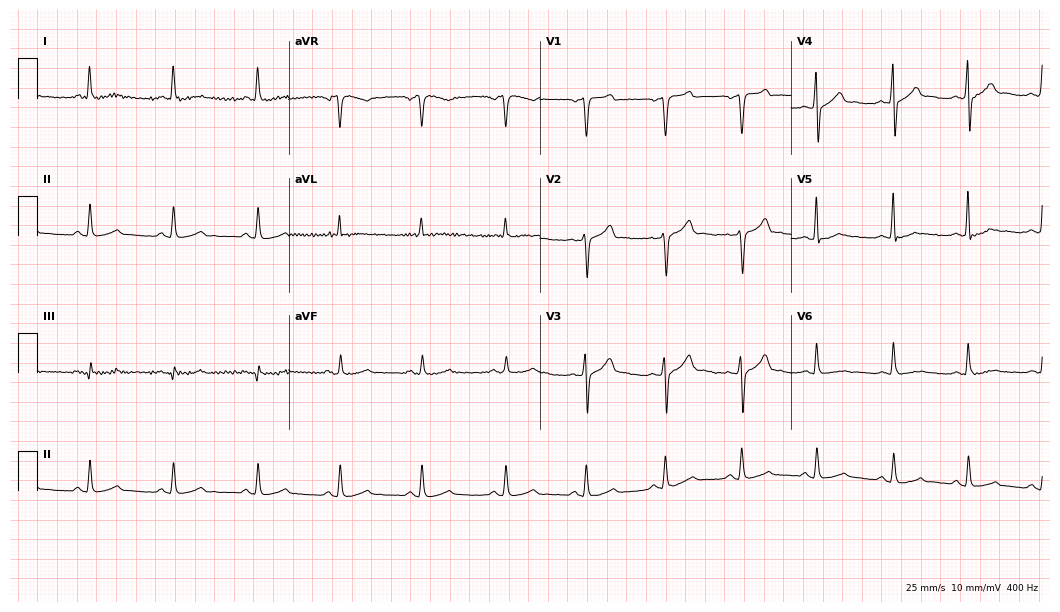
12-lead ECG from a male patient, 48 years old. No first-degree AV block, right bundle branch block, left bundle branch block, sinus bradycardia, atrial fibrillation or sinus tachycardia recorded for this tracing.